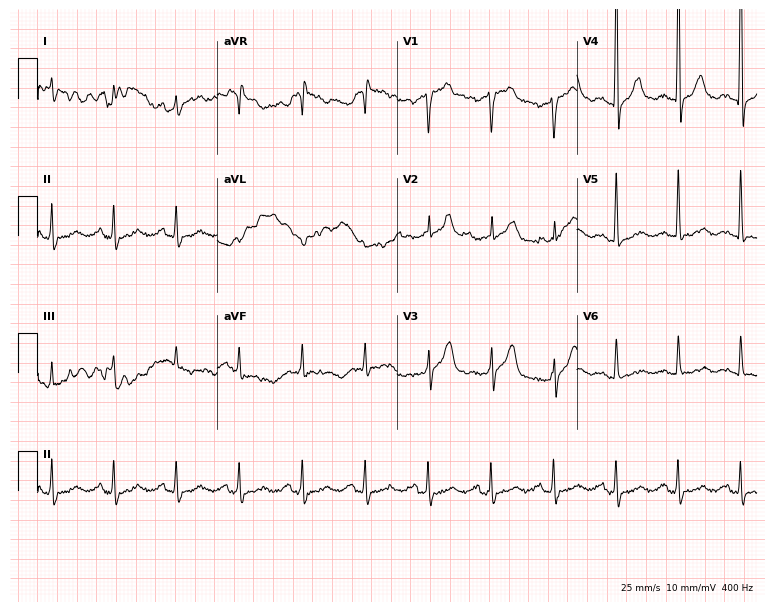
12-lead ECG from a 77-year-old male patient. No first-degree AV block, right bundle branch block (RBBB), left bundle branch block (LBBB), sinus bradycardia, atrial fibrillation (AF) or sinus tachycardia recorded for this tracing. Only these six findings were labelled.